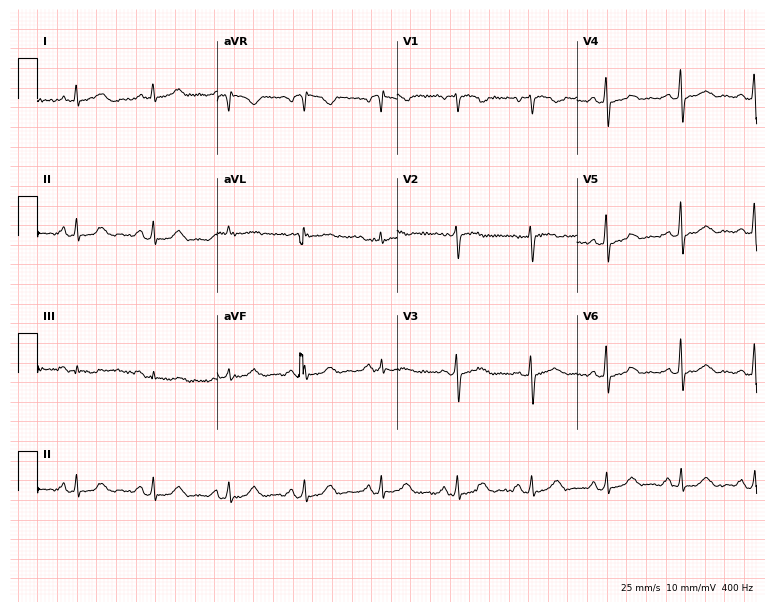
12-lead ECG from a female patient, 62 years old. No first-degree AV block, right bundle branch block, left bundle branch block, sinus bradycardia, atrial fibrillation or sinus tachycardia recorded for this tracing. Only these six findings were labelled.